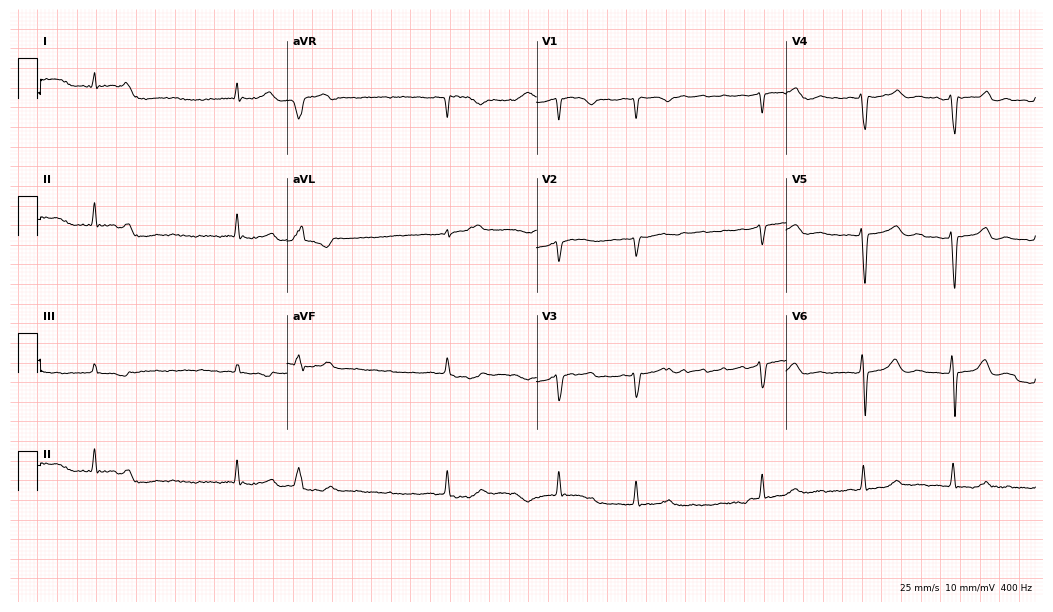
12-lead ECG (10.2-second recording at 400 Hz) from a man, 81 years old. Findings include atrial fibrillation.